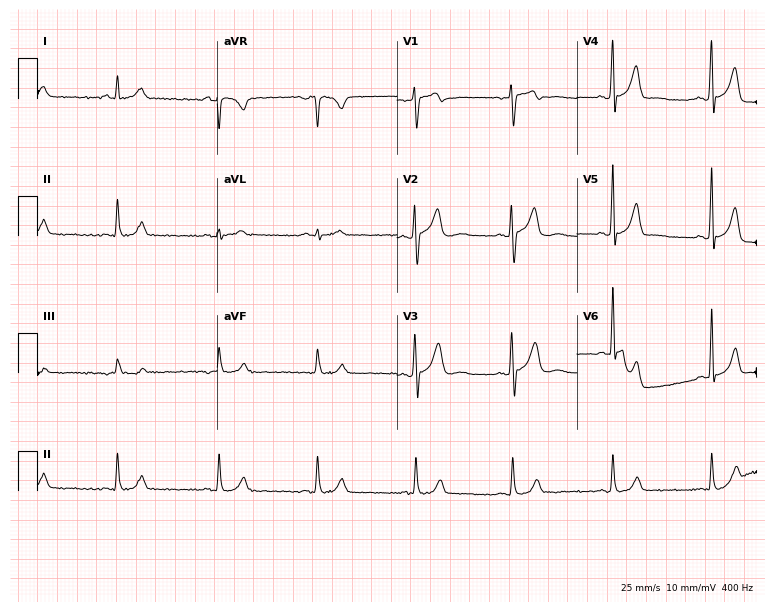
Standard 12-lead ECG recorded from a male patient, 46 years old (7.3-second recording at 400 Hz). None of these six findings is recorded: first-degree AV block, right bundle branch block (RBBB), left bundle branch block (LBBB), sinus bradycardia, atrial fibrillation (AF), sinus tachycardia. Other findings, if any, are not listed.